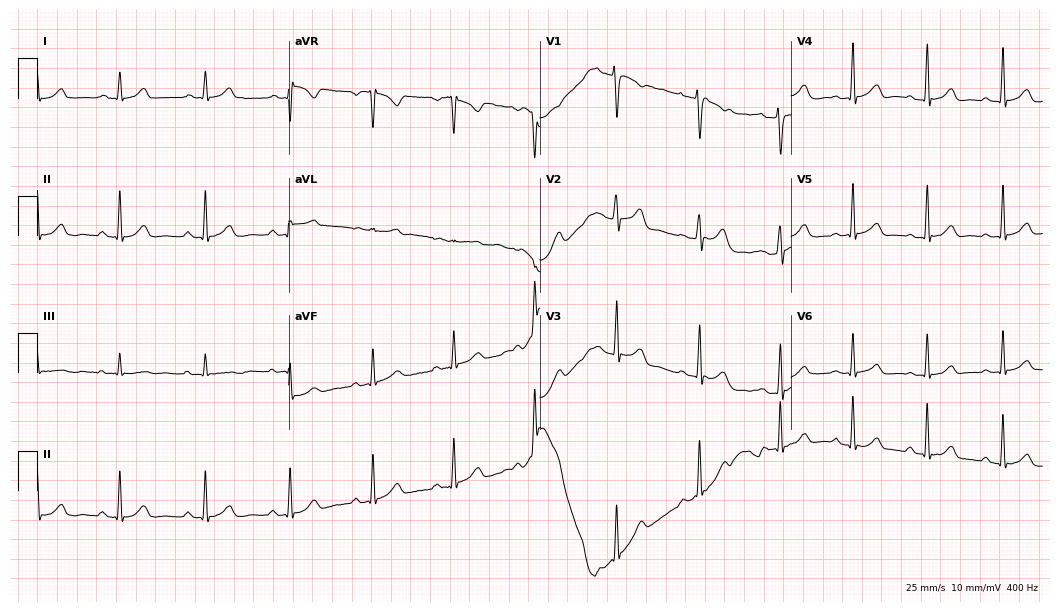
Standard 12-lead ECG recorded from a female, 29 years old (10.2-second recording at 400 Hz). None of these six findings is recorded: first-degree AV block, right bundle branch block, left bundle branch block, sinus bradycardia, atrial fibrillation, sinus tachycardia. Other findings, if any, are not listed.